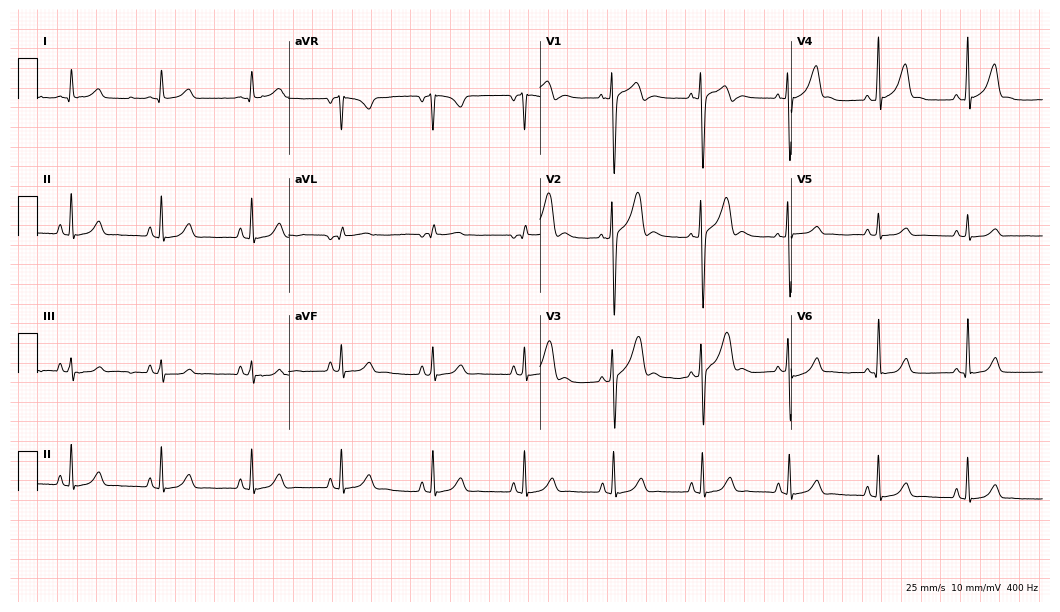
12-lead ECG from a 20-year-old male patient. Screened for six findings — first-degree AV block, right bundle branch block, left bundle branch block, sinus bradycardia, atrial fibrillation, sinus tachycardia — none is recorded.